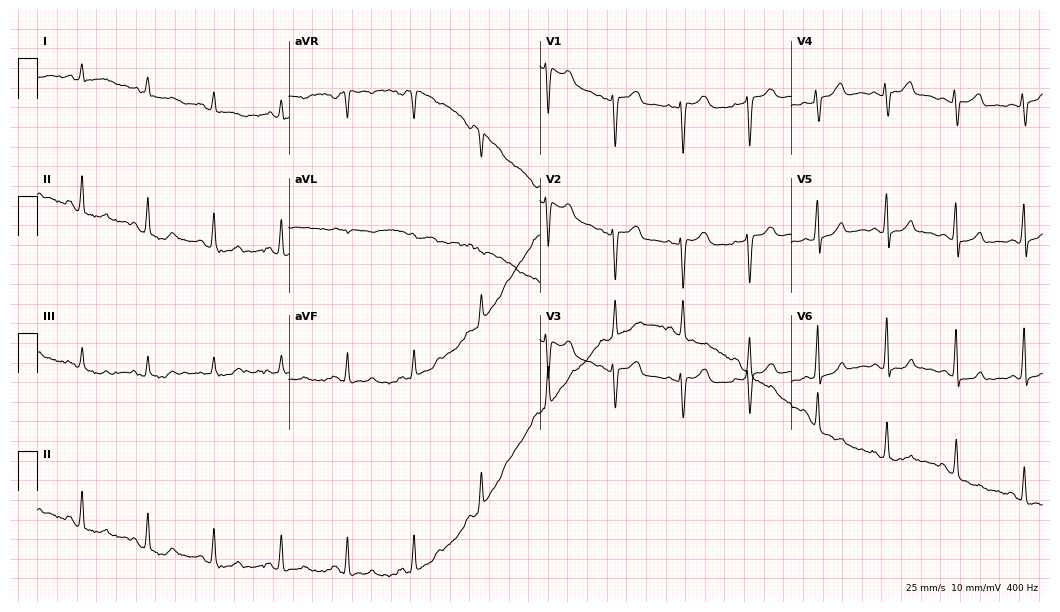
12-lead ECG from a 56-year-old female patient. Screened for six findings — first-degree AV block, right bundle branch block, left bundle branch block, sinus bradycardia, atrial fibrillation, sinus tachycardia — none is recorded.